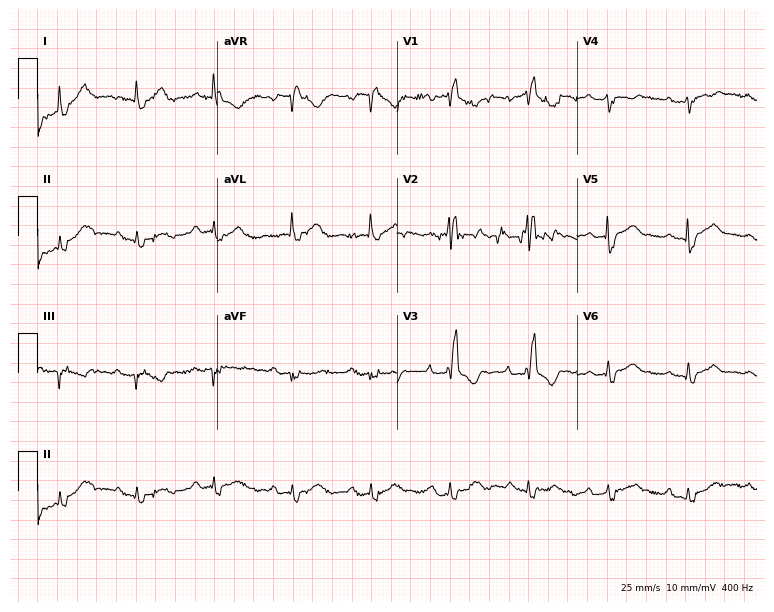
12-lead ECG from a 72-year-old woman (7.3-second recording at 400 Hz). No first-degree AV block, right bundle branch block, left bundle branch block, sinus bradycardia, atrial fibrillation or sinus tachycardia recorded for this tracing.